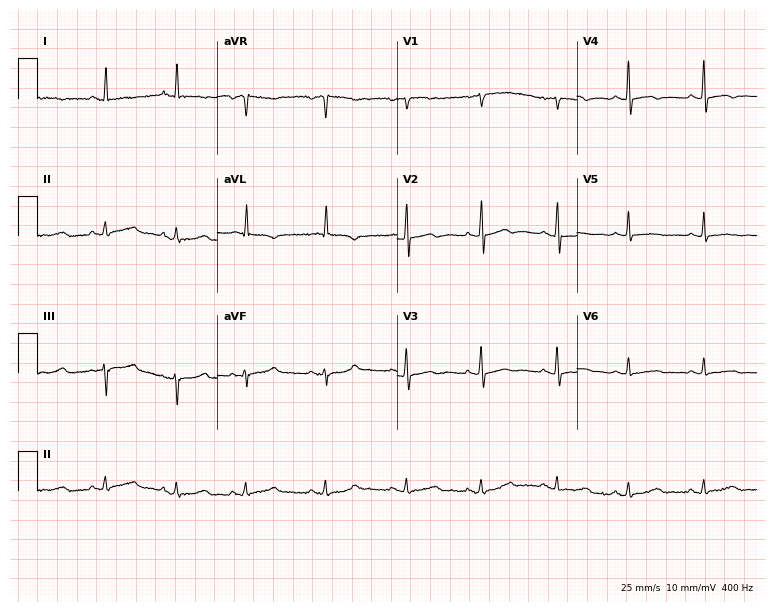
Standard 12-lead ECG recorded from a female patient, 78 years old. None of these six findings is recorded: first-degree AV block, right bundle branch block, left bundle branch block, sinus bradycardia, atrial fibrillation, sinus tachycardia. Findings outside these six are not listed.